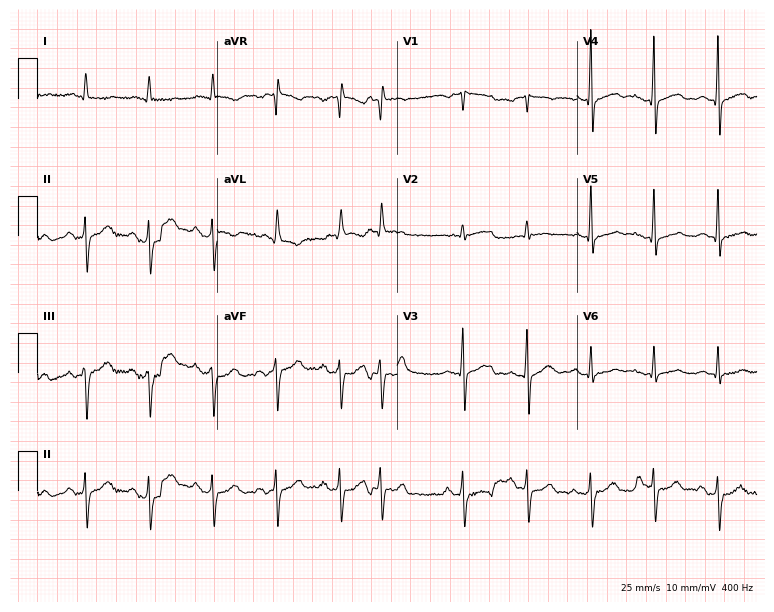
12-lead ECG from a 72-year-old male patient. Screened for six findings — first-degree AV block, right bundle branch block, left bundle branch block, sinus bradycardia, atrial fibrillation, sinus tachycardia — none is recorded.